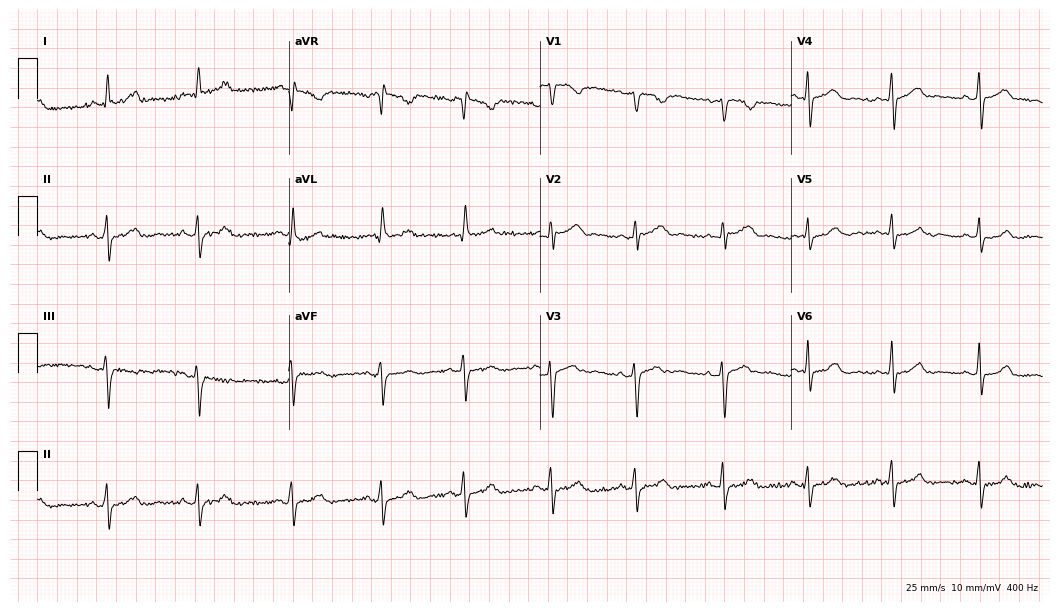
ECG (10.2-second recording at 400 Hz) — a female patient, 30 years old. Labelled as a normal ECG.